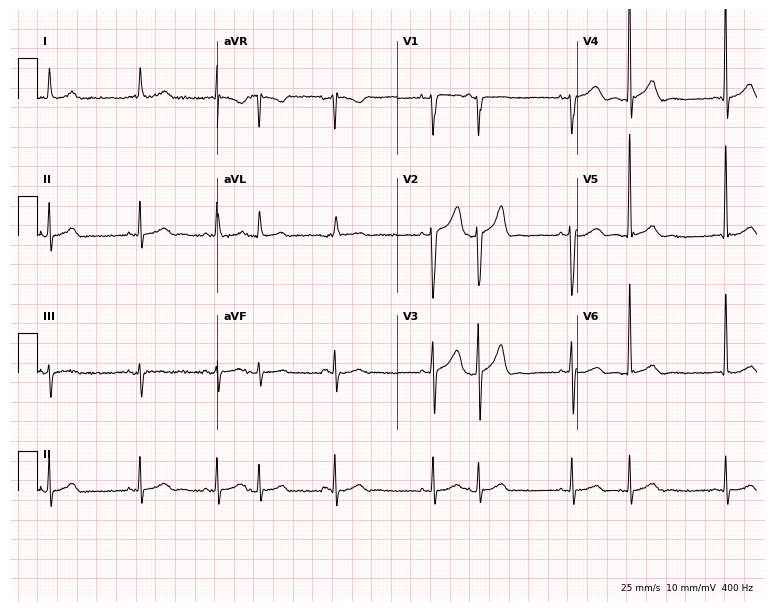
Standard 12-lead ECG recorded from an 81-year-old female. Read as a normal ECG.